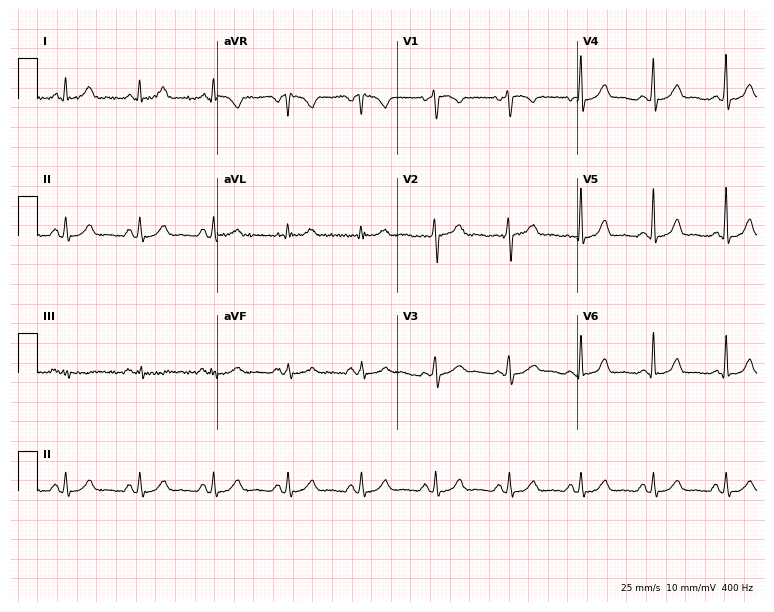
12-lead ECG from a woman, 41 years old. Labelled as a normal ECG.